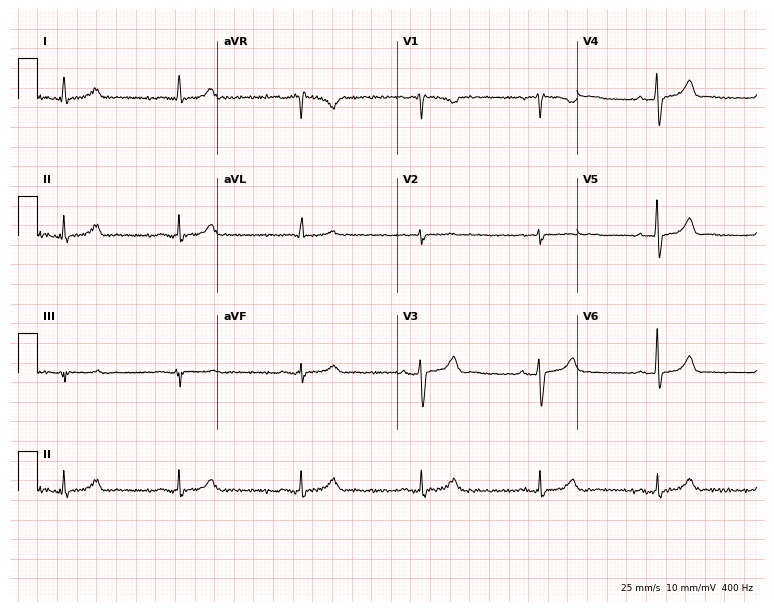
Resting 12-lead electrocardiogram. Patient: a 71-year-old man. The tracing shows sinus bradycardia (a sinus rate of 50 beats per minute or less).